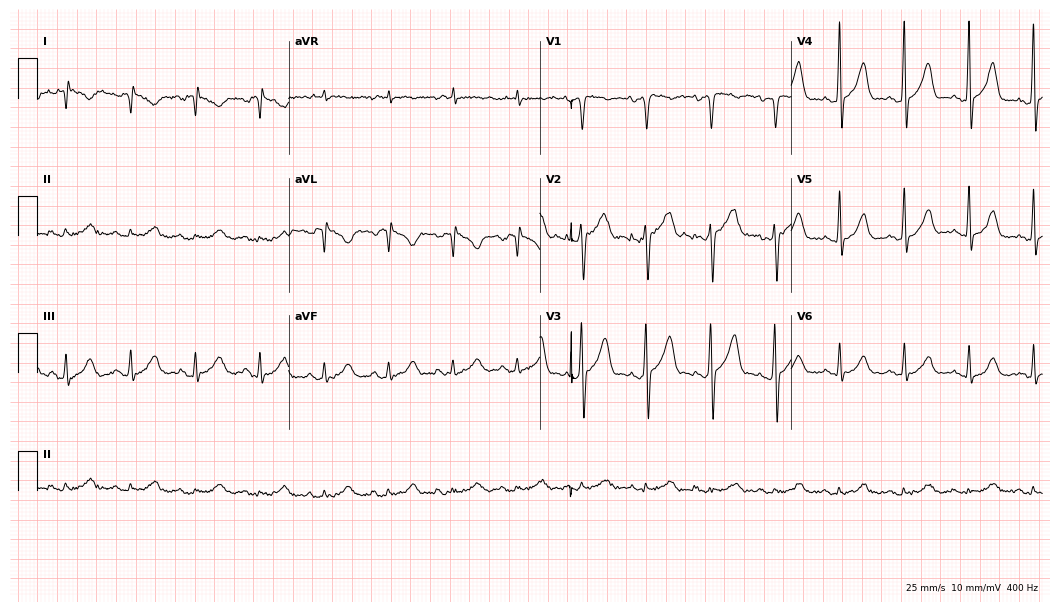
Standard 12-lead ECG recorded from a 60-year-old man. None of these six findings is recorded: first-degree AV block, right bundle branch block, left bundle branch block, sinus bradycardia, atrial fibrillation, sinus tachycardia. Only these six findings were labelled.